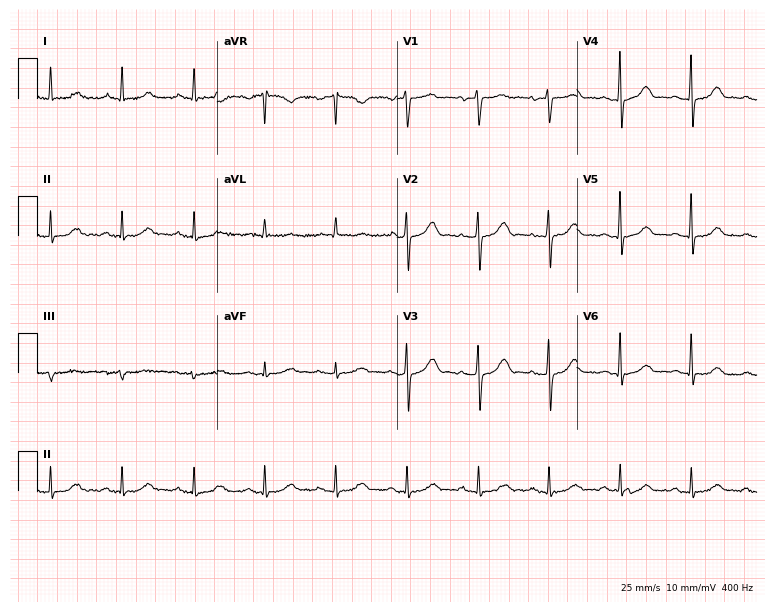
Electrocardiogram, a female, 43 years old. Of the six screened findings (first-degree AV block, right bundle branch block, left bundle branch block, sinus bradycardia, atrial fibrillation, sinus tachycardia), none is recorded.